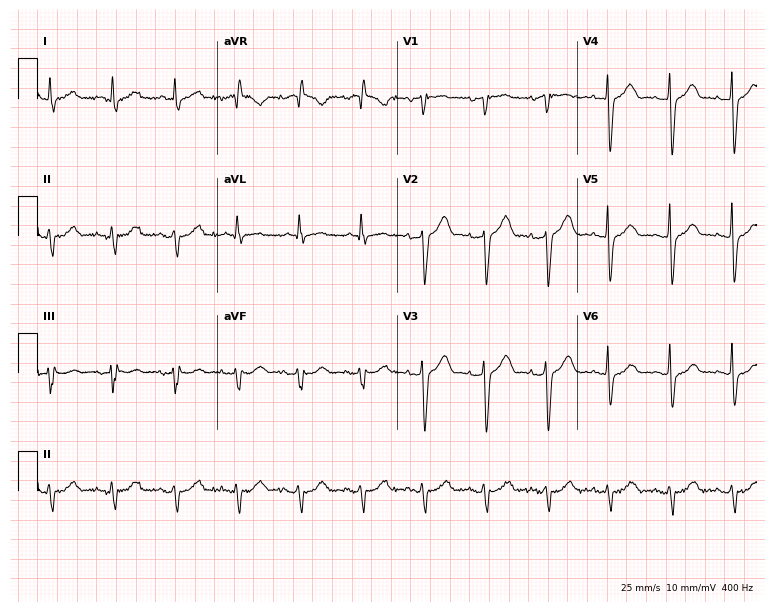
Electrocardiogram (7.3-second recording at 400 Hz), a 68-year-old male. Of the six screened findings (first-degree AV block, right bundle branch block, left bundle branch block, sinus bradycardia, atrial fibrillation, sinus tachycardia), none is recorded. Findings outside these six are not listed.